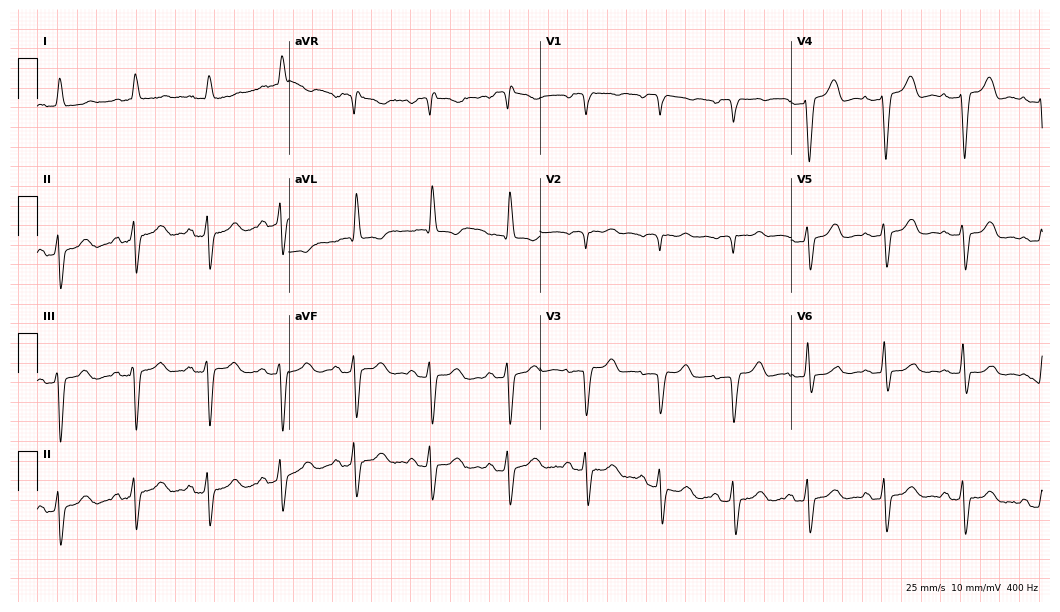
ECG — a woman, 78 years old. Screened for six findings — first-degree AV block, right bundle branch block, left bundle branch block, sinus bradycardia, atrial fibrillation, sinus tachycardia — none is recorded. Other findings, if any, are not listed.